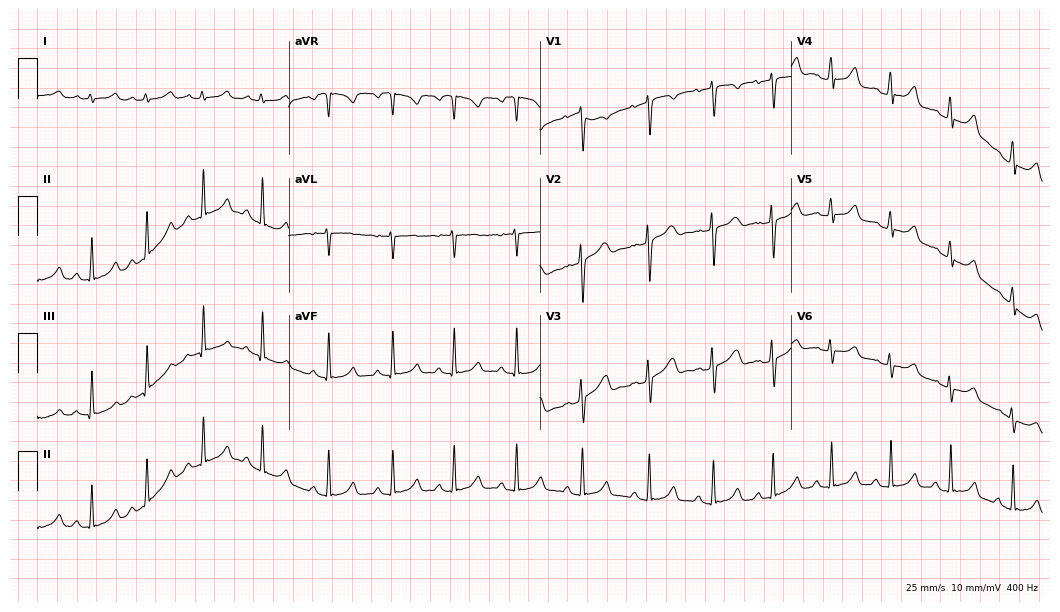
12-lead ECG (10.2-second recording at 400 Hz) from a 17-year-old woman. Labelled as a normal ECG.